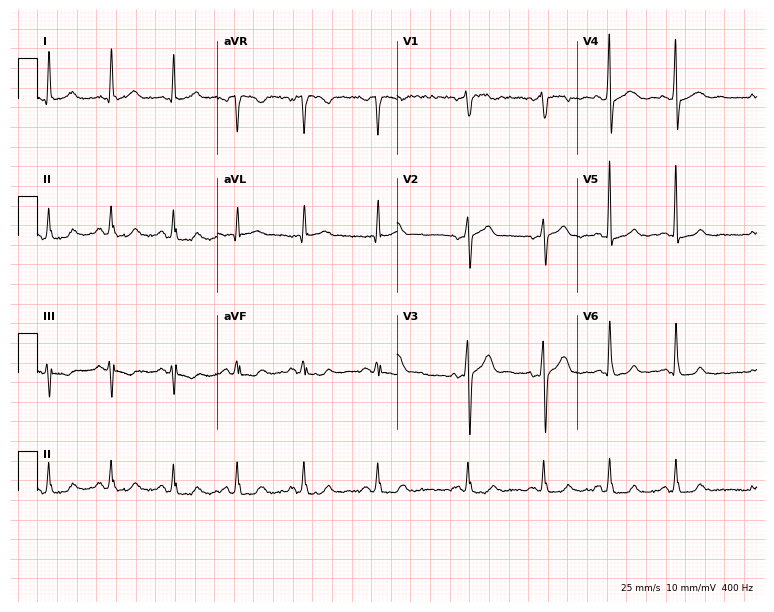
ECG — a 54-year-old male patient. Labelled as a normal ECG.